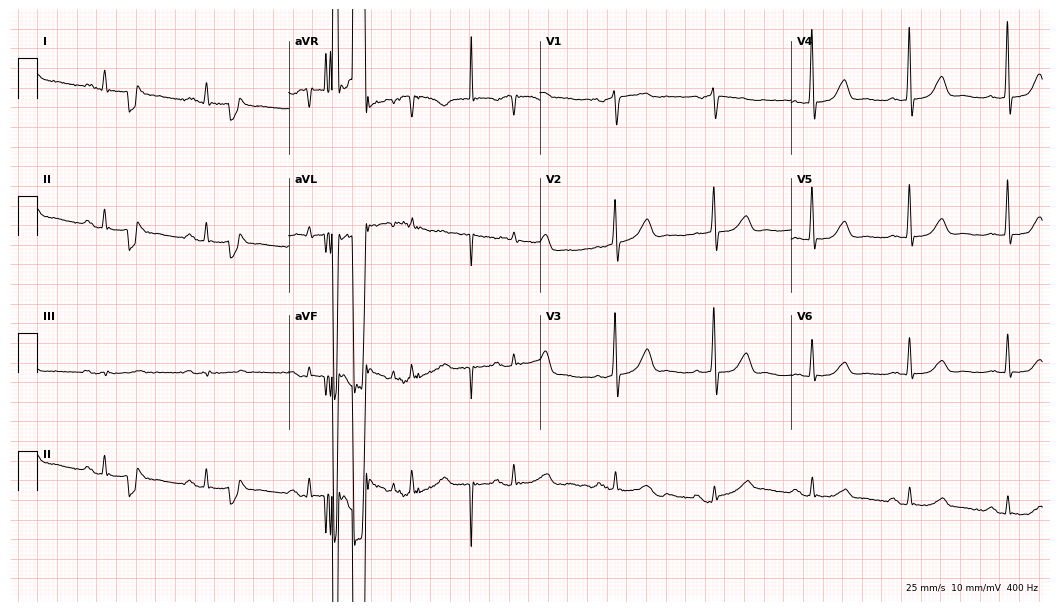
Electrocardiogram (10.2-second recording at 400 Hz), a man, 77 years old. Of the six screened findings (first-degree AV block, right bundle branch block, left bundle branch block, sinus bradycardia, atrial fibrillation, sinus tachycardia), none is recorded. Only these six findings were labelled.